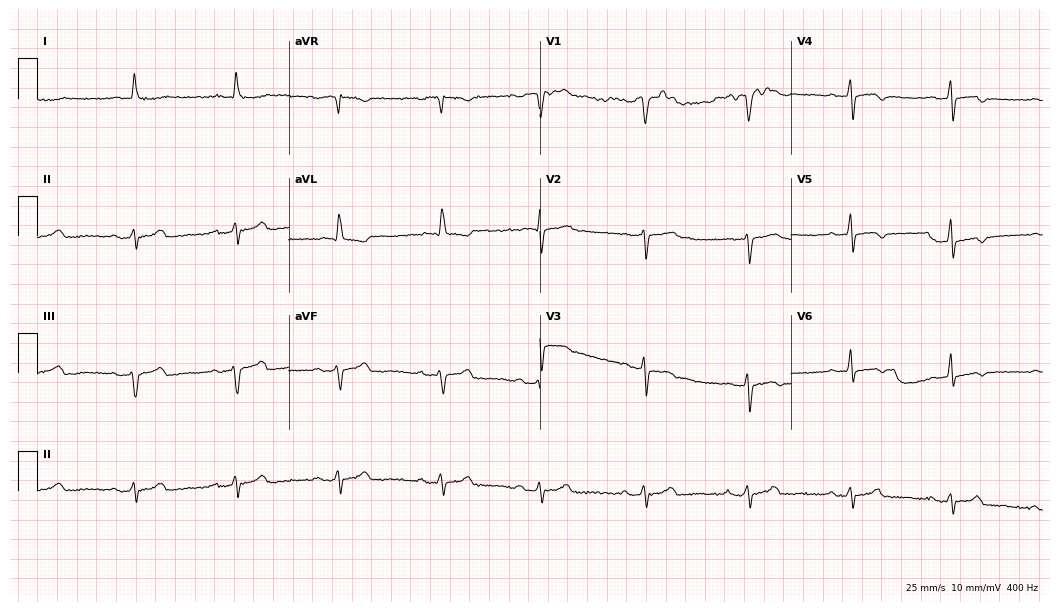
Resting 12-lead electrocardiogram. Patient: an 85-year-old man. None of these six findings is recorded: first-degree AV block, right bundle branch block (RBBB), left bundle branch block (LBBB), sinus bradycardia, atrial fibrillation (AF), sinus tachycardia.